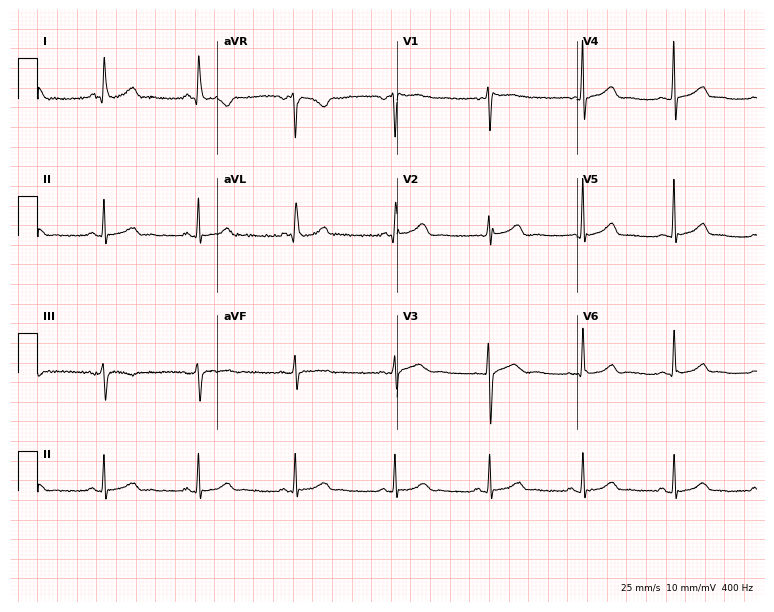
Standard 12-lead ECG recorded from a female, 34 years old. Read as a normal ECG.